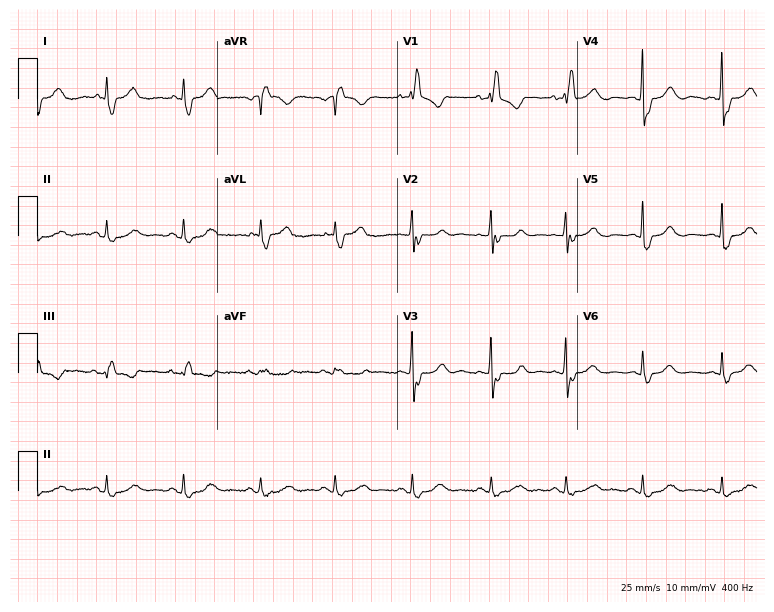
ECG — a 71-year-old female patient. Findings include right bundle branch block.